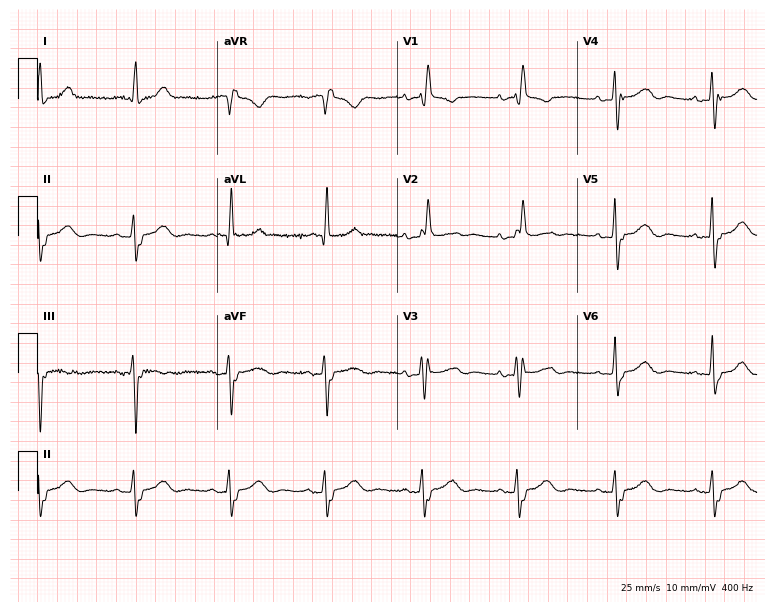
ECG — a female patient, 83 years old. Findings include right bundle branch block (RBBB).